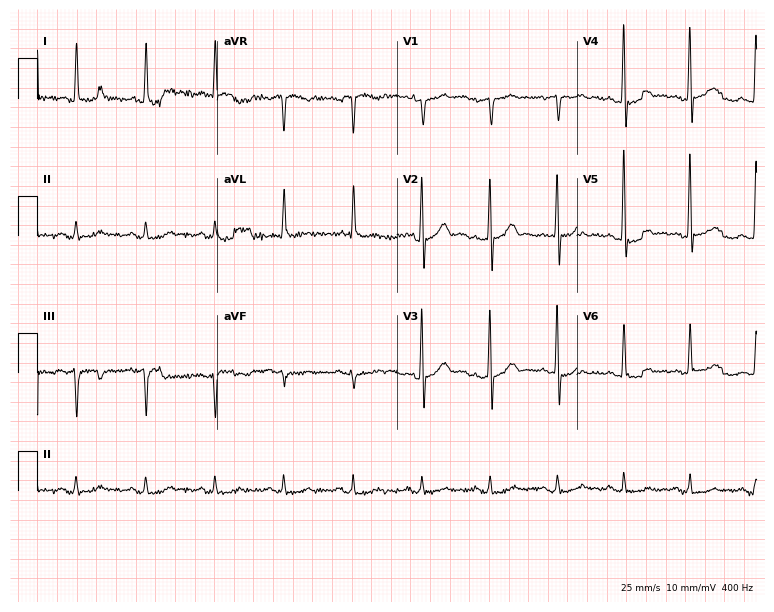
Standard 12-lead ECG recorded from a 76-year-old man (7.3-second recording at 400 Hz). None of these six findings is recorded: first-degree AV block, right bundle branch block (RBBB), left bundle branch block (LBBB), sinus bradycardia, atrial fibrillation (AF), sinus tachycardia. Only these six findings were labelled.